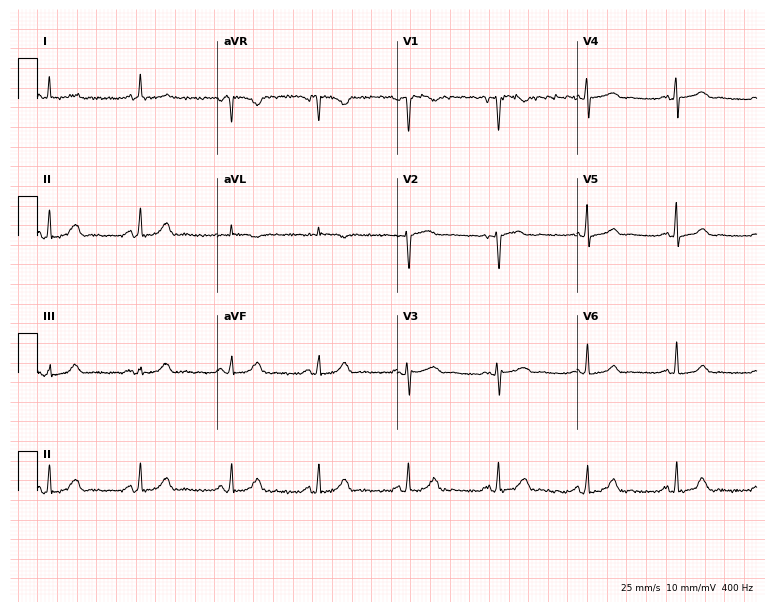
12-lead ECG from a female, 61 years old. Screened for six findings — first-degree AV block, right bundle branch block, left bundle branch block, sinus bradycardia, atrial fibrillation, sinus tachycardia — none is recorded. Findings outside these six are not listed.